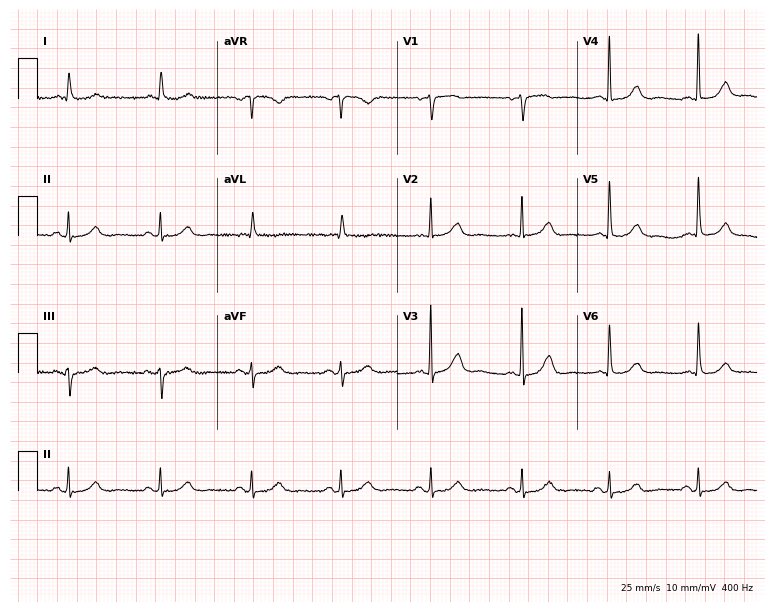
12-lead ECG from a 76-year-old woman (7.3-second recording at 400 Hz). No first-degree AV block, right bundle branch block (RBBB), left bundle branch block (LBBB), sinus bradycardia, atrial fibrillation (AF) or sinus tachycardia recorded for this tracing.